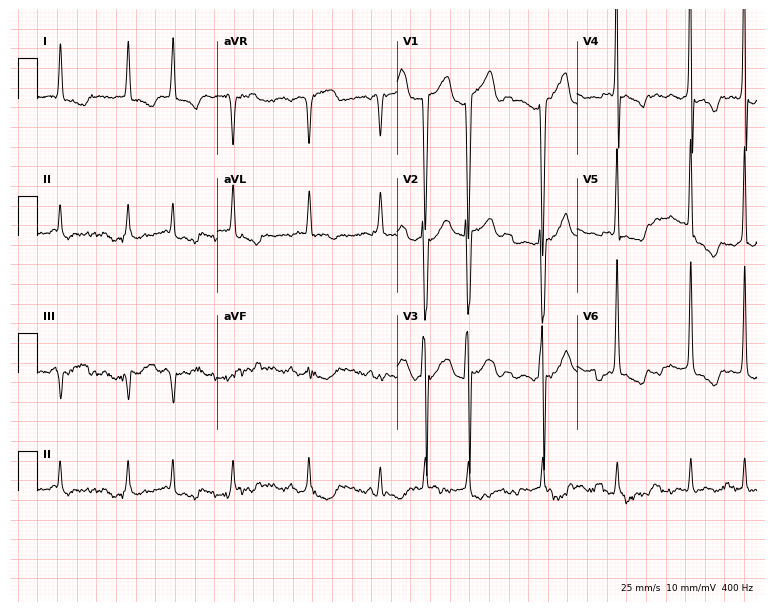
Electrocardiogram, a male patient, 74 years old. Interpretation includes atrial fibrillation.